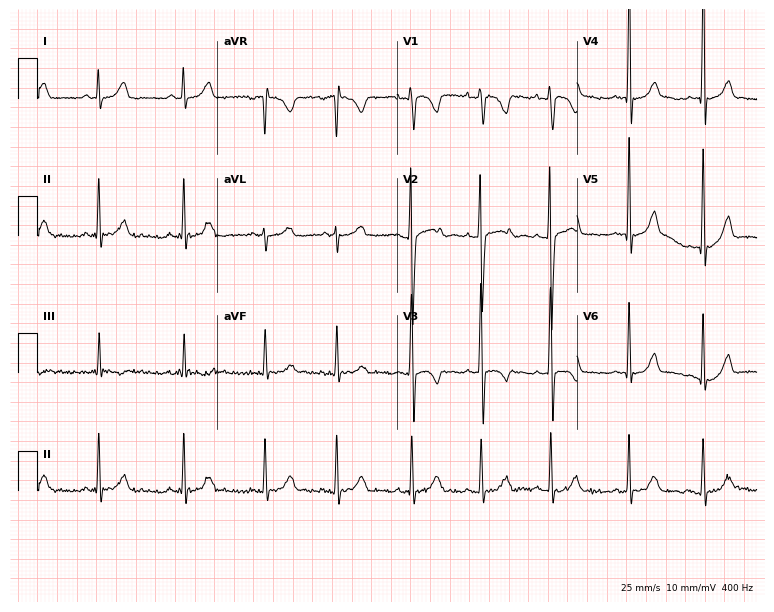
12-lead ECG from a 22-year-old male (7.3-second recording at 400 Hz). No first-degree AV block, right bundle branch block, left bundle branch block, sinus bradycardia, atrial fibrillation or sinus tachycardia recorded for this tracing. Findings outside these six are not listed.